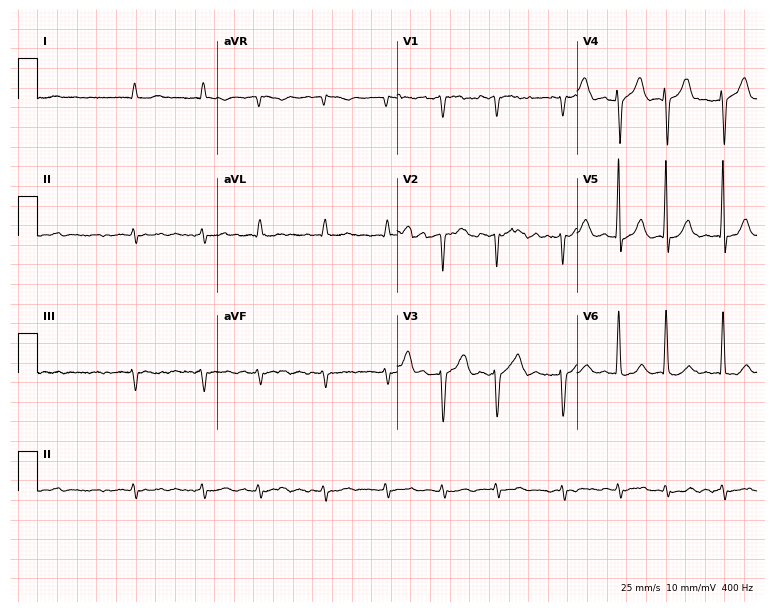
12-lead ECG from a 79-year-old male patient. Findings include atrial fibrillation.